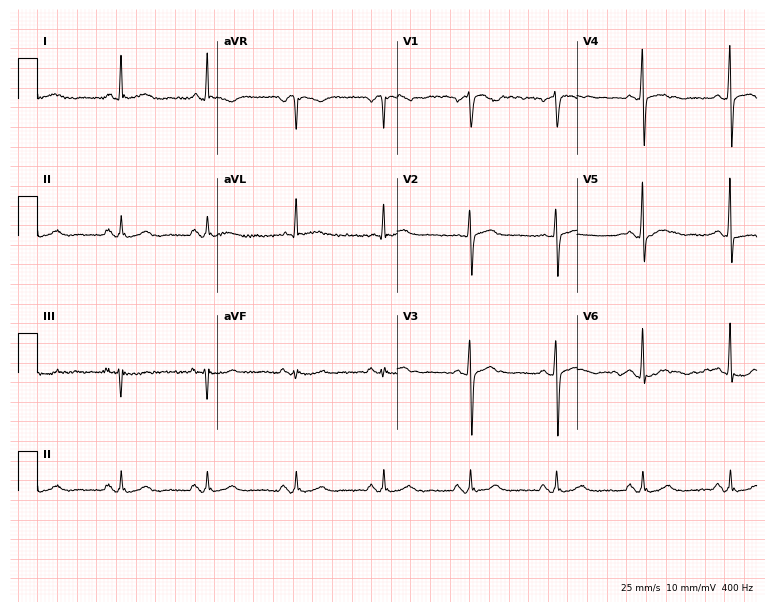
Standard 12-lead ECG recorded from a female, 53 years old (7.3-second recording at 400 Hz). None of these six findings is recorded: first-degree AV block, right bundle branch block (RBBB), left bundle branch block (LBBB), sinus bradycardia, atrial fibrillation (AF), sinus tachycardia.